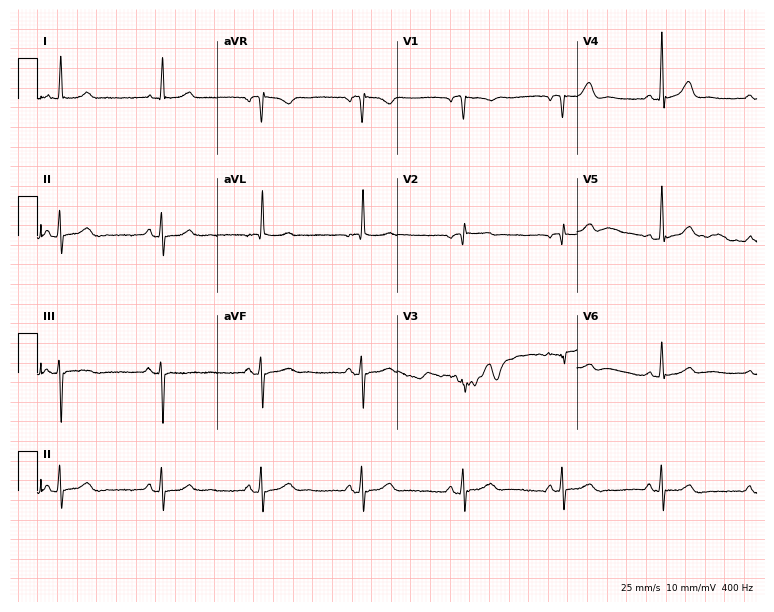
Resting 12-lead electrocardiogram (7.3-second recording at 400 Hz). Patient: a female, 76 years old. None of these six findings is recorded: first-degree AV block, right bundle branch block, left bundle branch block, sinus bradycardia, atrial fibrillation, sinus tachycardia.